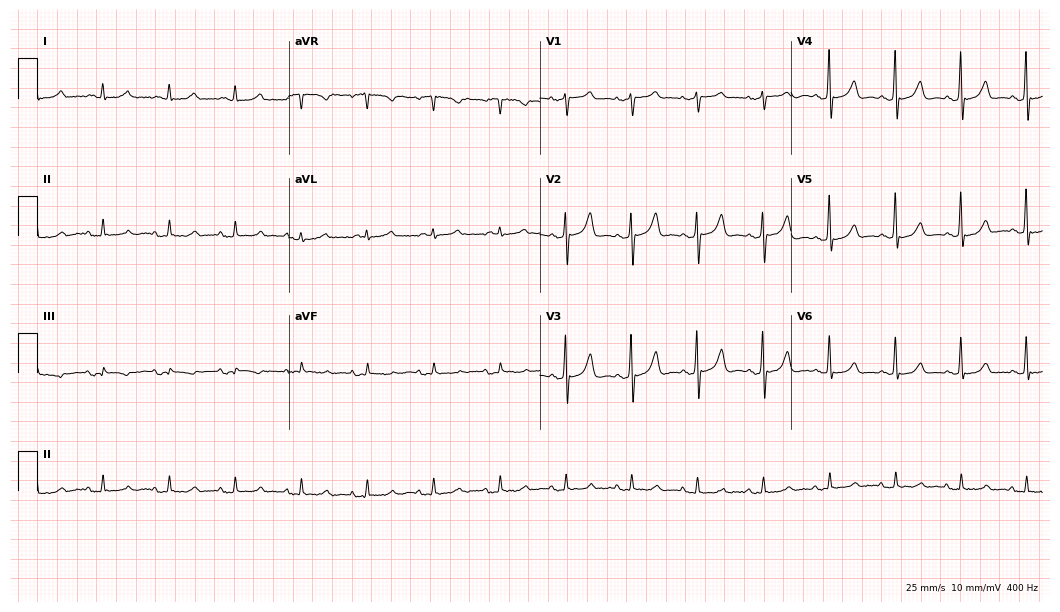
Resting 12-lead electrocardiogram (10.2-second recording at 400 Hz). Patient: a male, 77 years old. Read as a normal ECG.